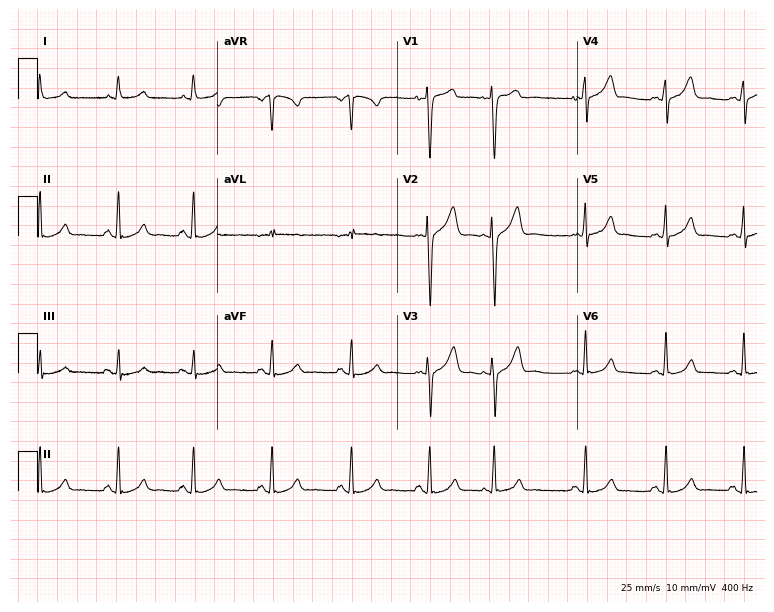
ECG (7.3-second recording at 400 Hz) — a 29-year-old woman. Labelled as a normal ECG.